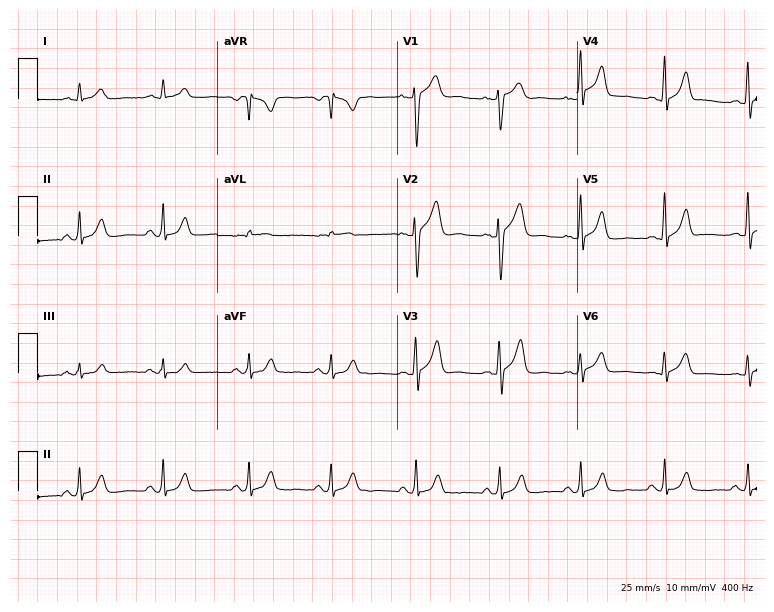
12-lead ECG from a 48-year-old male patient (7.3-second recording at 400 Hz). No first-degree AV block, right bundle branch block, left bundle branch block, sinus bradycardia, atrial fibrillation or sinus tachycardia recorded for this tracing. Other findings, if any, are not listed.